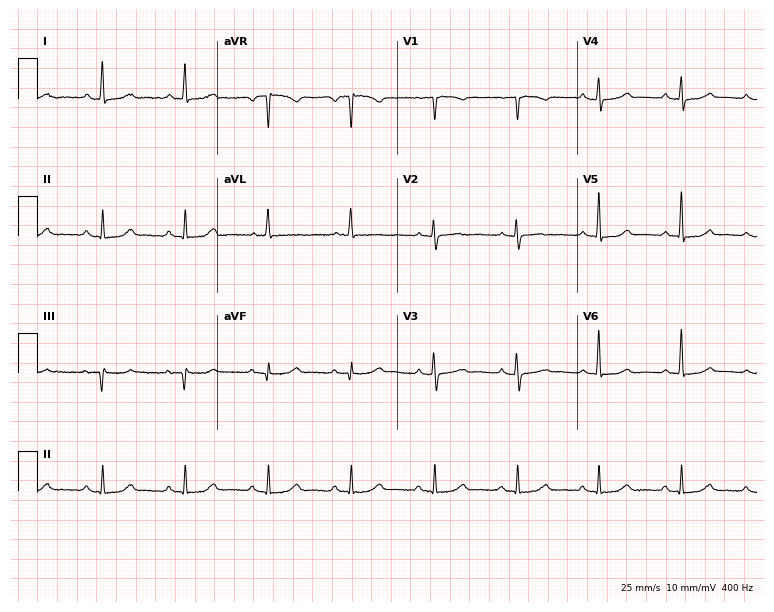
Resting 12-lead electrocardiogram. Patient: a 68-year-old female. Read as a normal ECG.